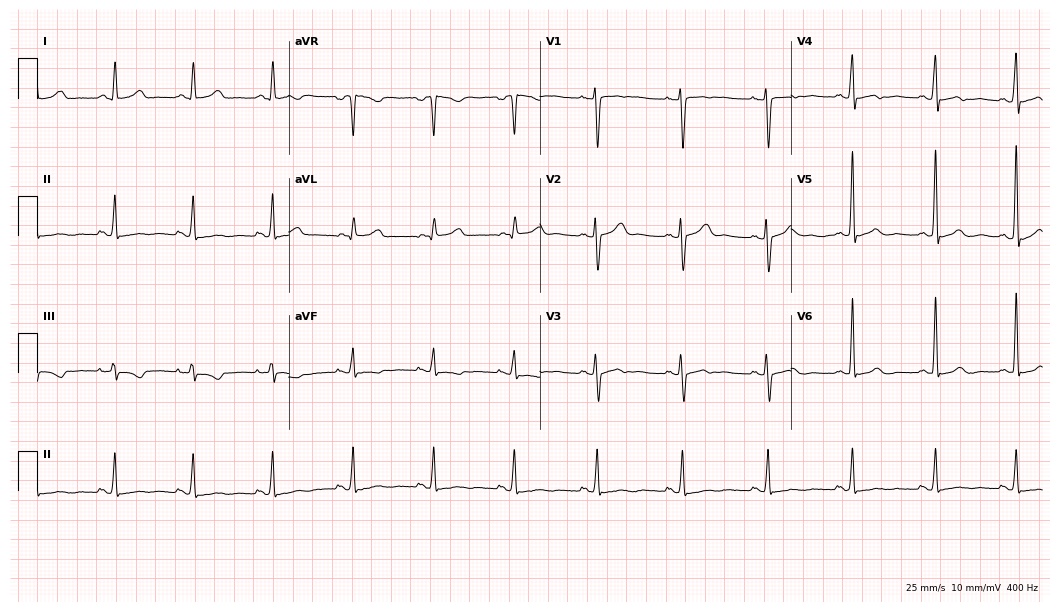
12-lead ECG (10.2-second recording at 400 Hz) from a female patient, 55 years old. Labelled as a normal ECG.